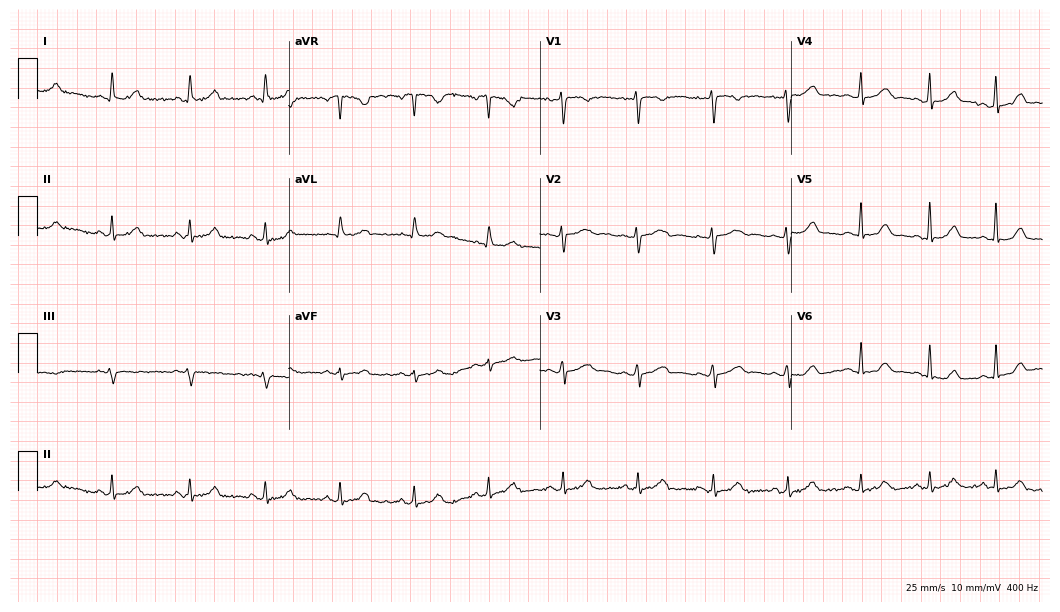
Standard 12-lead ECG recorded from a female, 32 years old. Read as a normal ECG.